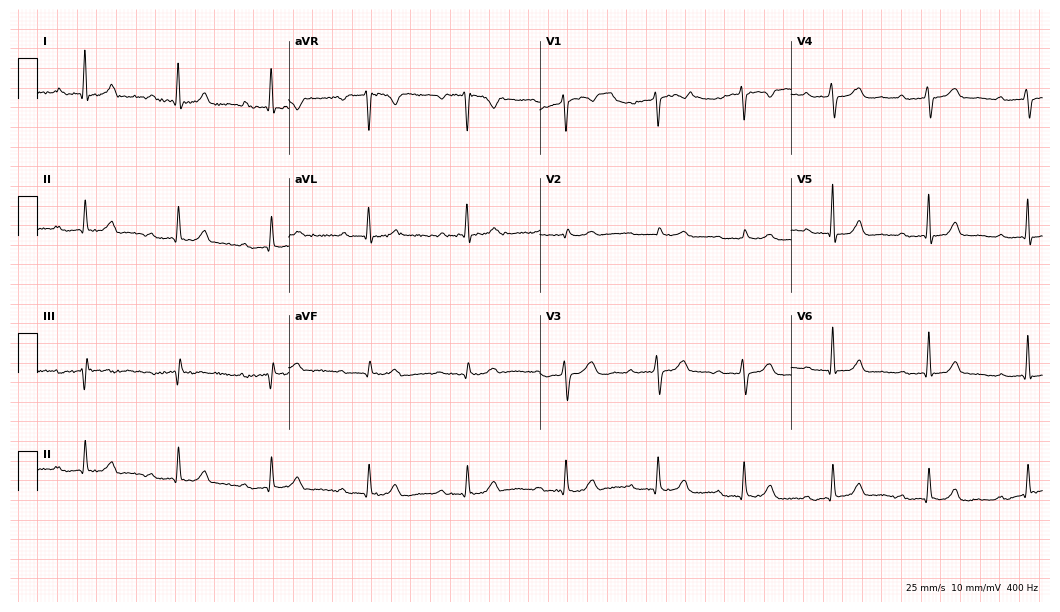
ECG (10.2-second recording at 400 Hz) — a female, 54 years old. Findings include first-degree AV block.